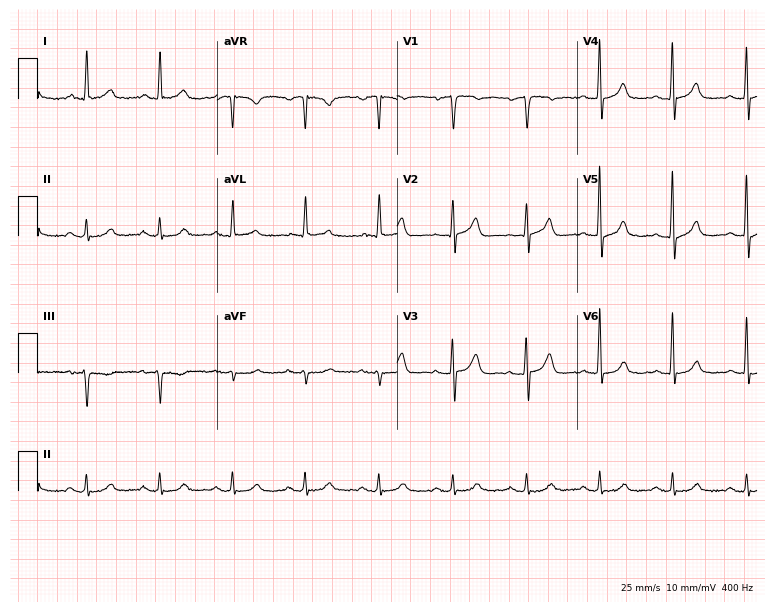
Standard 12-lead ECG recorded from a man, 82 years old (7.3-second recording at 400 Hz). Read as a normal ECG.